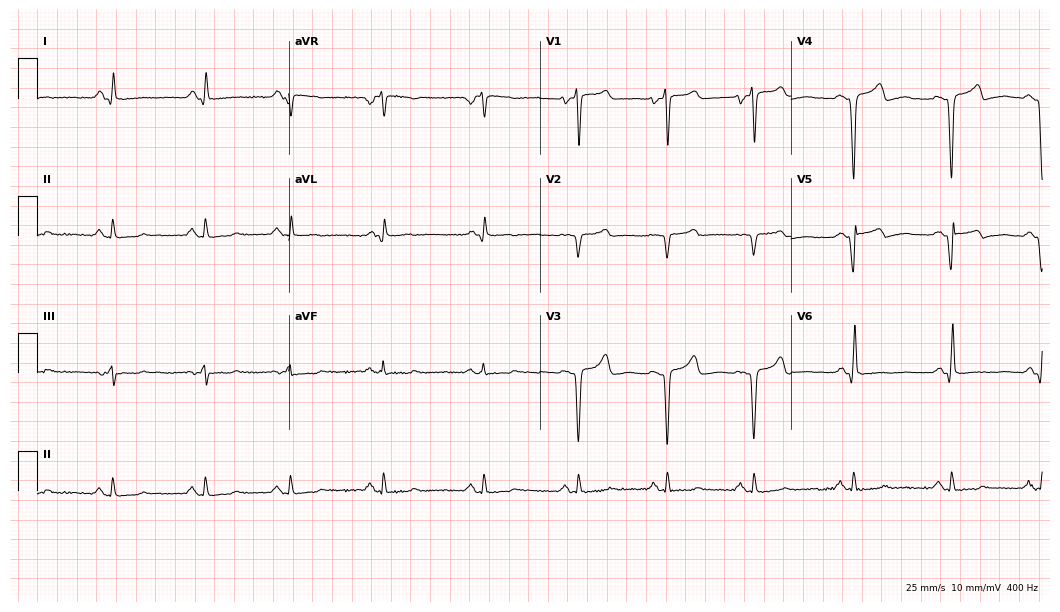
12-lead ECG from a man, 55 years old. No first-degree AV block, right bundle branch block (RBBB), left bundle branch block (LBBB), sinus bradycardia, atrial fibrillation (AF) or sinus tachycardia recorded for this tracing.